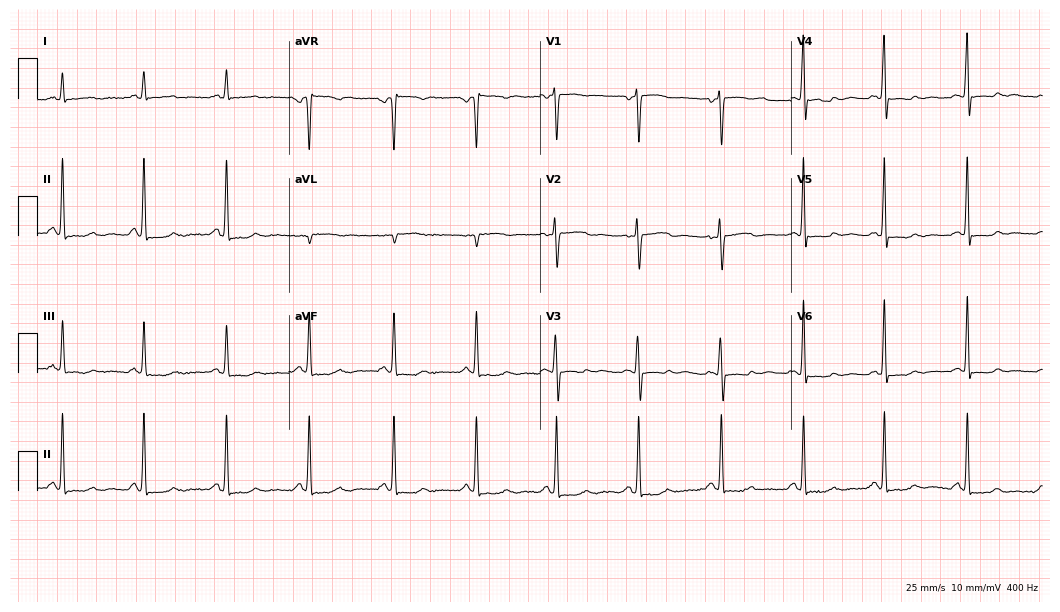
Resting 12-lead electrocardiogram (10.2-second recording at 400 Hz). Patient: a female, 48 years old. None of these six findings is recorded: first-degree AV block, right bundle branch block, left bundle branch block, sinus bradycardia, atrial fibrillation, sinus tachycardia.